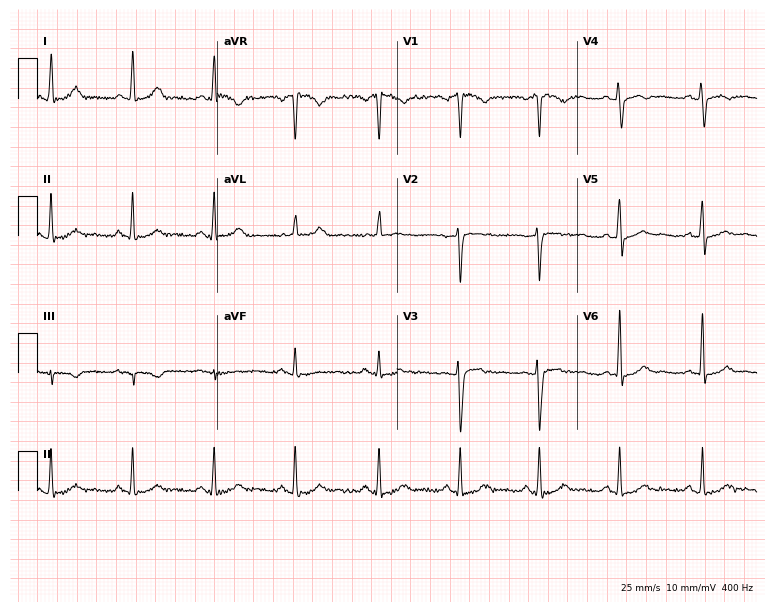
12-lead ECG from a woman, 37 years old (7.3-second recording at 400 Hz). No first-degree AV block, right bundle branch block, left bundle branch block, sinus bradycardia, atrial fibrillation or sinus tachycardia recorded for this tracing.